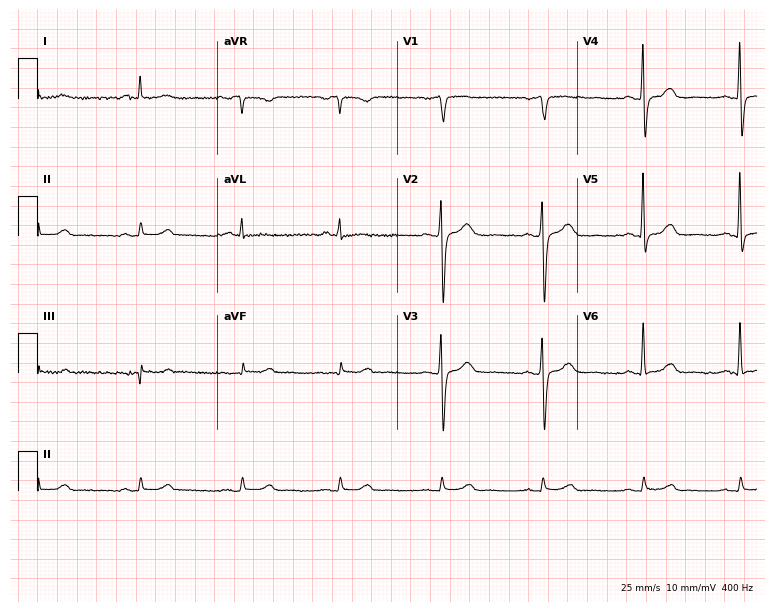
12-lead ECG from a male patient, 53 years old (7.3-second recording at 400 Hz). Recorded interpretation: within normal limits.